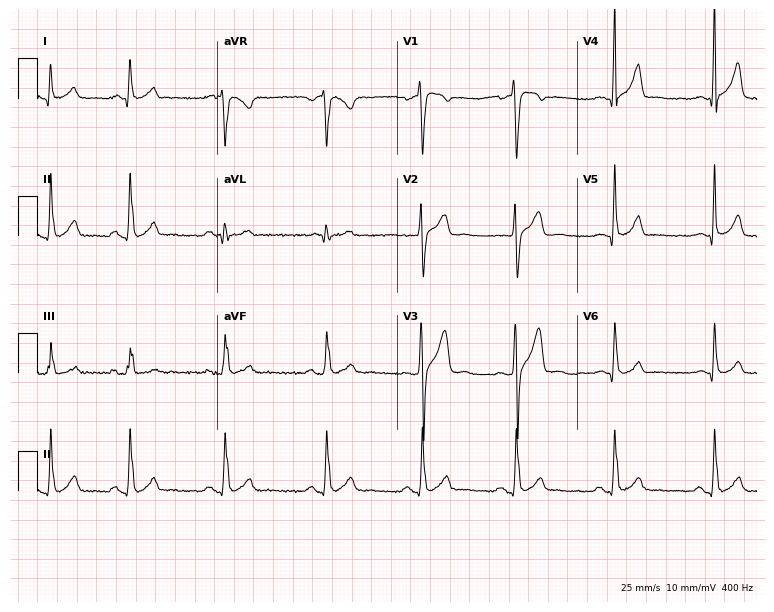
ECG — a 27-year-old man. Labelled as a normal ECG.